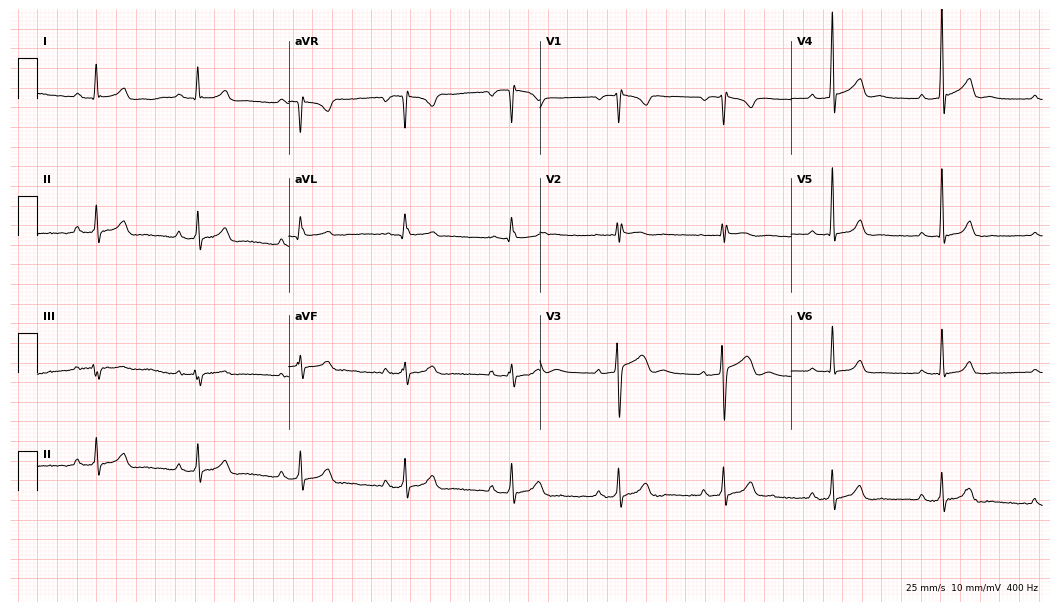
Resting 12-lead electrocardiogram. Patient: a 28-year-old male. None of these six findings is recorded: first-degree AV block, right bundle branch block, left bundle branch block, sinus bradycardia, atrial fibrillation, sinus tachycardia.